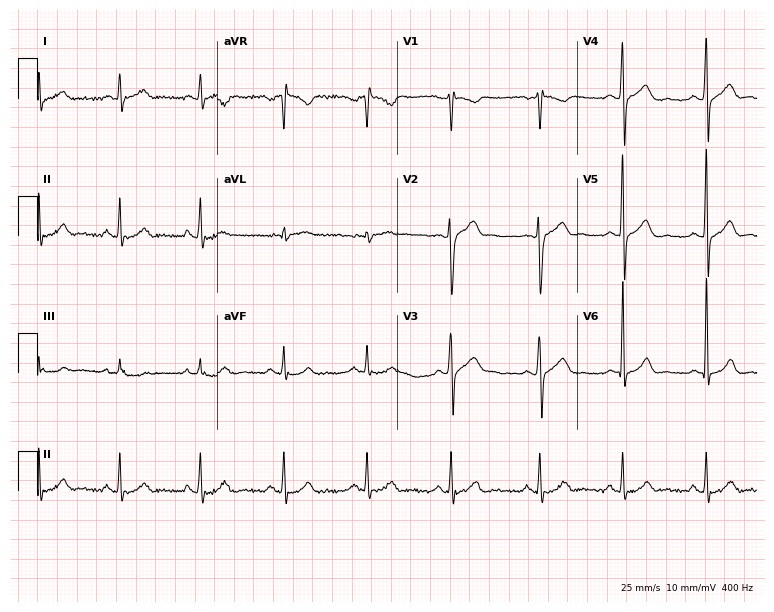
12-lead ECG from a man, 26 years old. Labelled as a normal ECG.